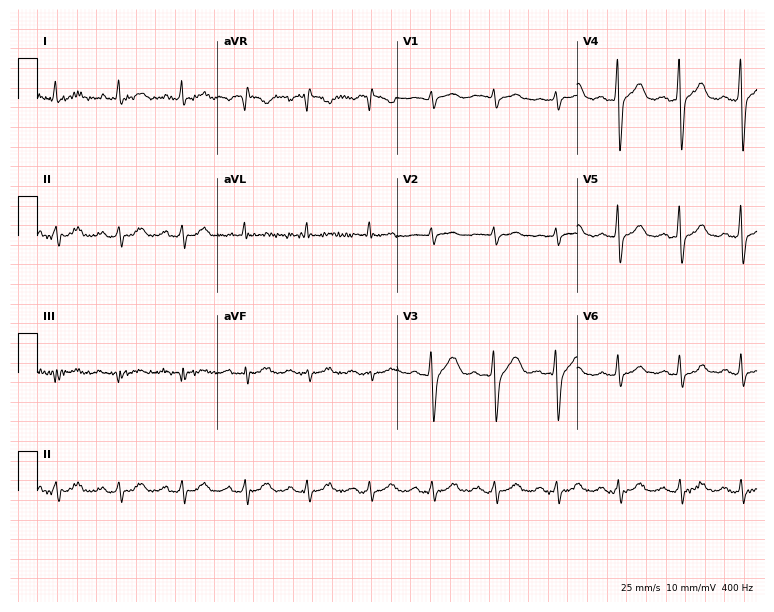
12-lead ECG from a man, 39 years old. No first-degree AV block, right bundle branch block (RBBB), left bundle branch block (LBBB), sinus bradycardia, atrial fibrillation (AF) or sinus tachycardia recorded for this tracing. Only these six findings were labelled.